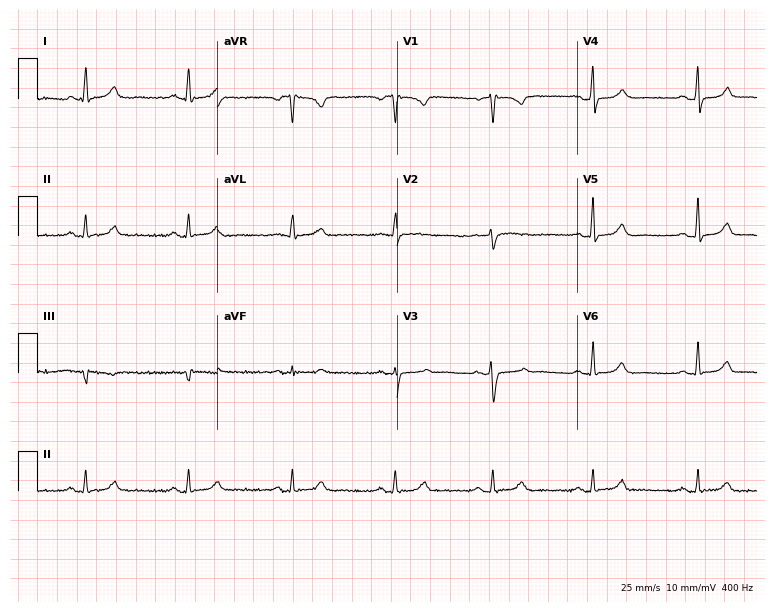
Resting 12-lead electrocardiogram. Patient: a 58-year-old female. Read as a normal ECG.